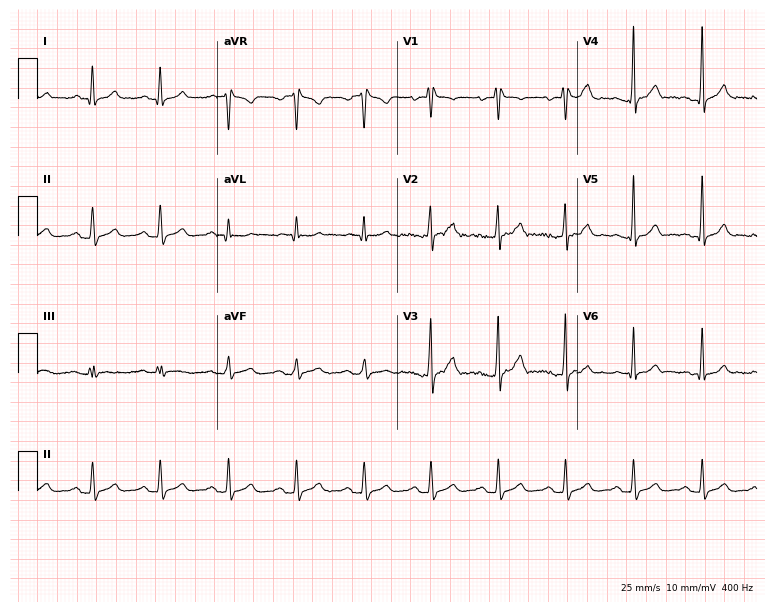
ECG — a man, 35 years old. Screened for six findings — first-degree AV block, right bundle branch block, left bundle branch block, sinus bradycardia, atrial fibrillation, sinus tachycardia — none is recorded.